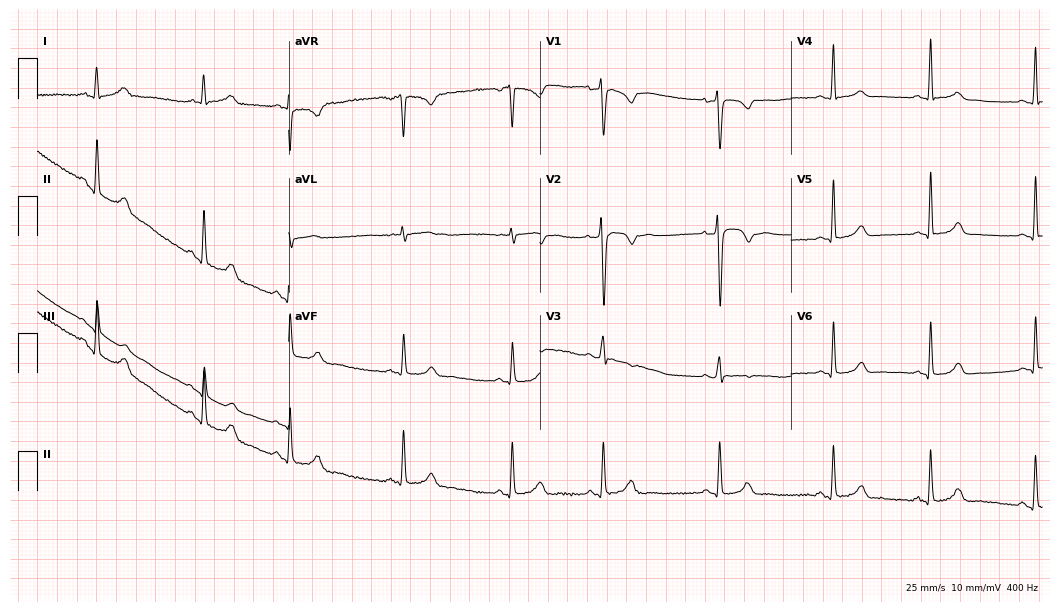
Standard 12-lead ECG recorded from a female patient, 23 years old (10.2-second recording at 400 Hz). Read as a normal ECG.